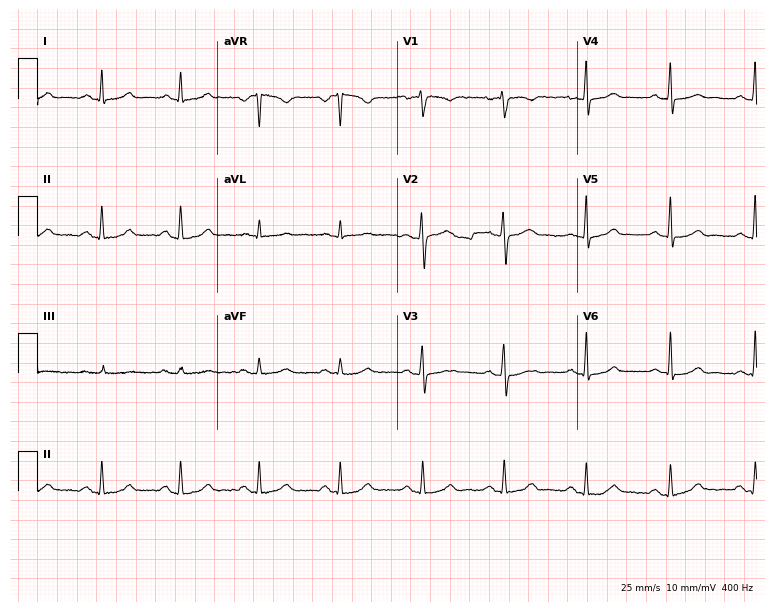
Electrocardiogram (7.3-second recording at 400 Hz), a female, 35 years old. Overall reading on record: normal ECG.